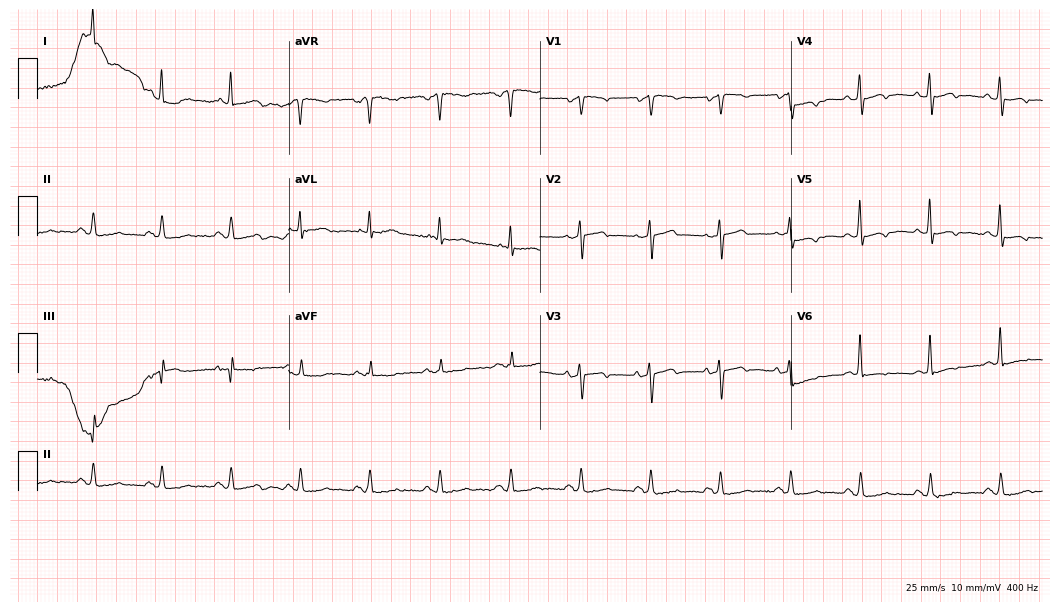
Standard 12-lead ECG recorded from a 75-year-old male (10.2-second recording at 400 Hz). None of these six findings is recorded: first-degree AV block, right bundle branch block, left bundle branch block, sinus bradycardia, atrial fibrillation, sinus tachycardia. Findings outside these six are not listed.